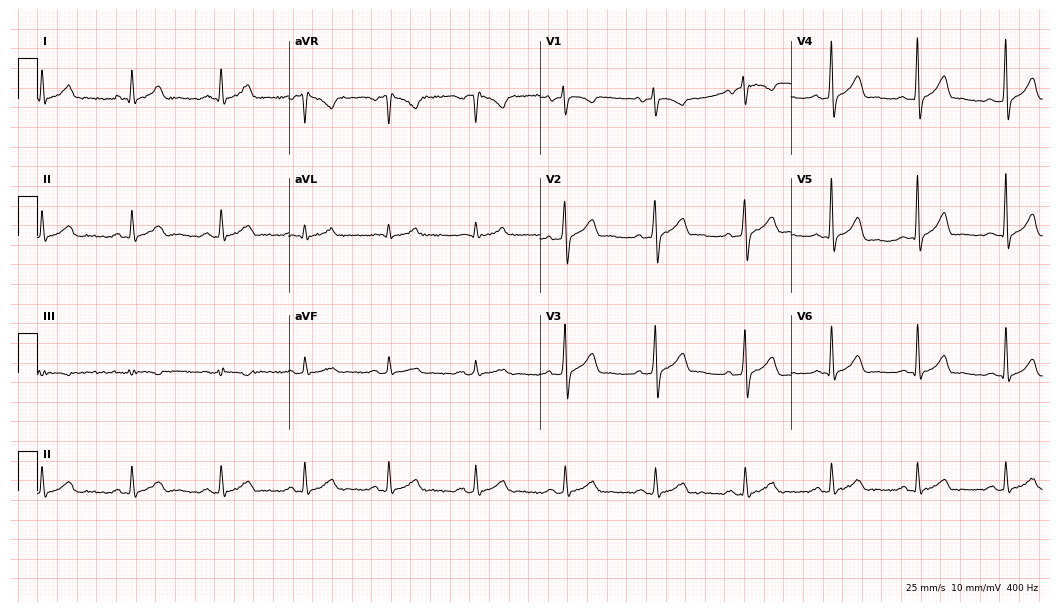
12-lead ECG (10.2-second recording at 400 Hz) from a 49-year-old male patient. Labelled as a normal ECG.